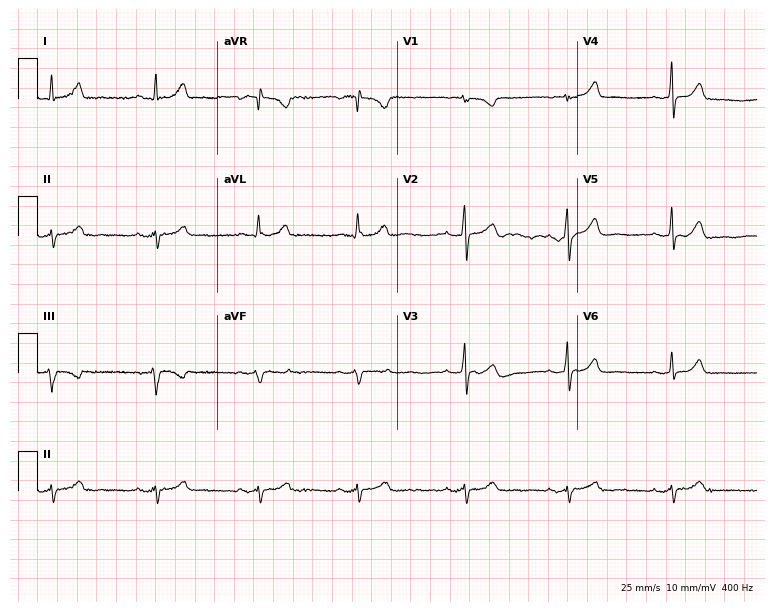
ECG — a 28-year-old female patient. Screened for six findings — first-degree AV block, right bundle branch block (RBBB), left bundle branch block (LBBB), sinus bradycardia, atrial fibrillation (AF), sinus tachycardia — none is recorded. Only these six findings were labelled.